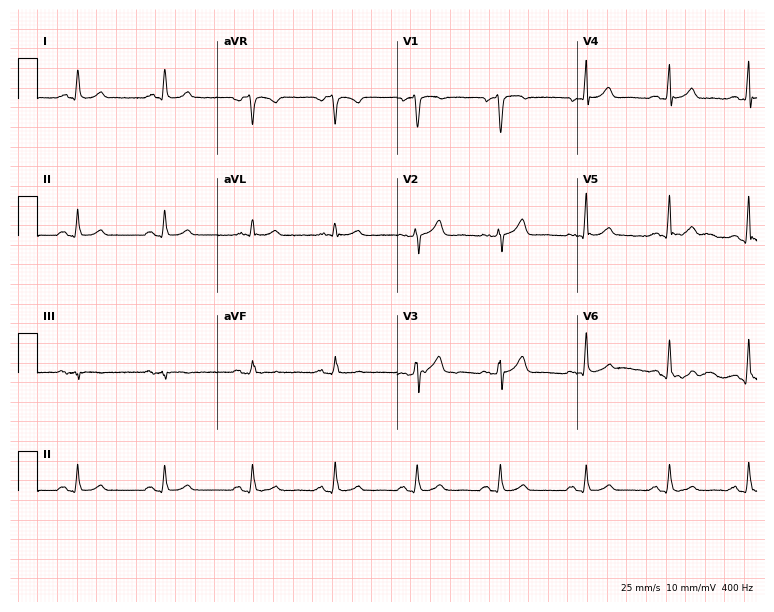
Electrocardiogram (7.3-second recording at 400 Hz), a man, 72 years old. Overall reading on record: normal ECG.